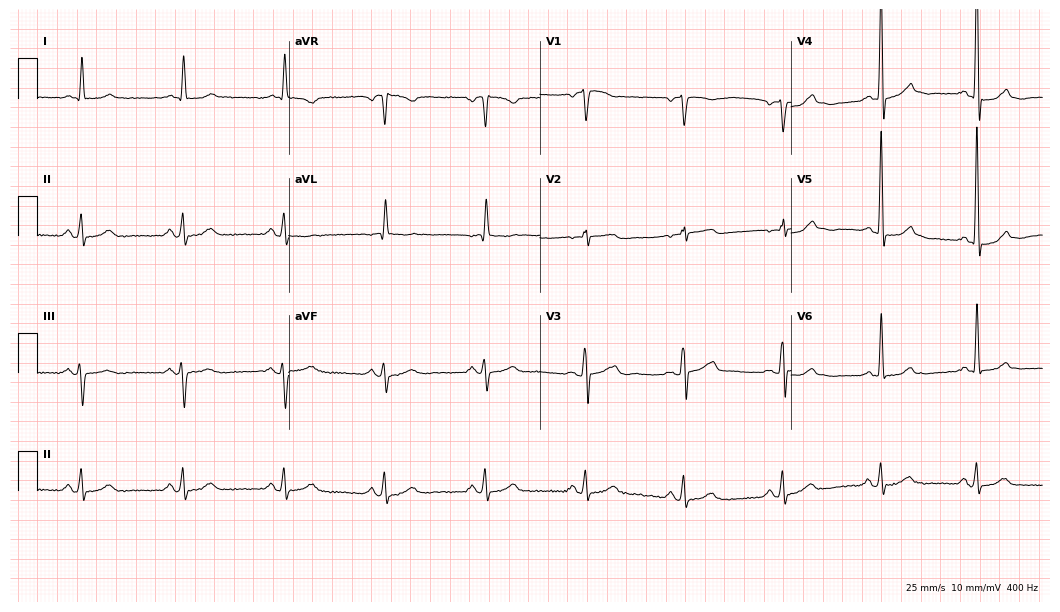
Resting 12-lead electrocardiogram. Patient: a 79-year-old female. Read as a normal ECG.